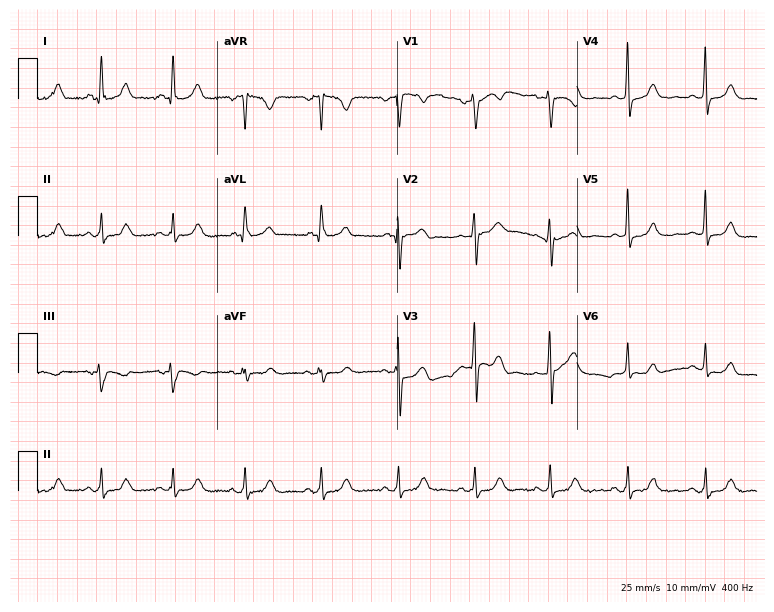
Standard 12-lead ECG recorded from a 53-year-old female (7.3-second recording at 400 Hz). Read as a normal ECG.